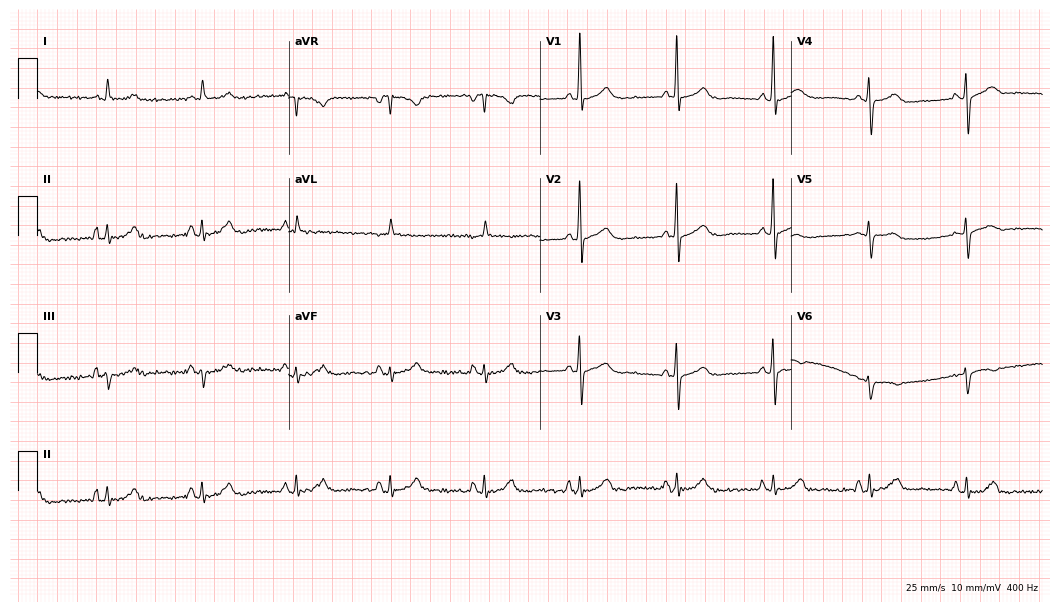
Resting 12-lead electrocardiogram. Patient: an 83-year-old male. None of these six findings is recorded: first-degree AV block, right bundle branch block, left bundle branch block, sinus bradycardia, atrial fibrillation, sinus tachycardia.